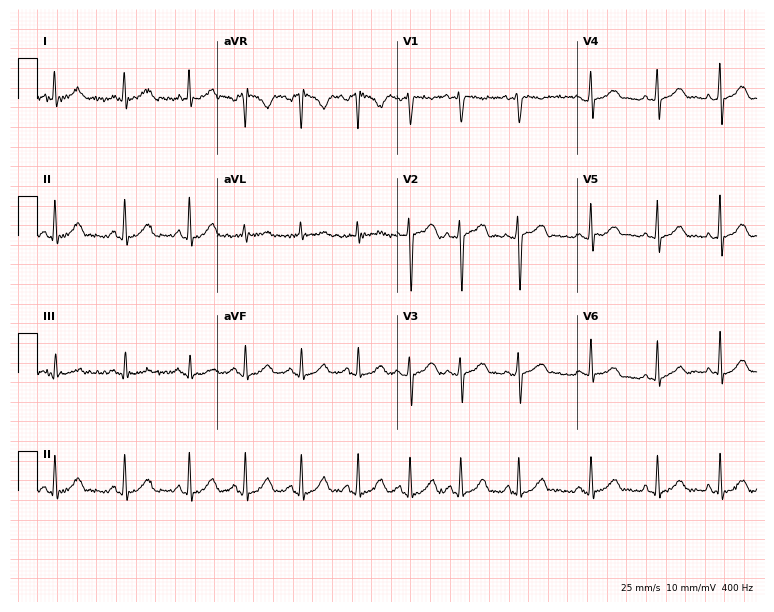
Electrocardiogram, a woman, 26 years old. Of the six screened findings (first-degree AV block, right bundle branch block (RBBB), left bundle branch block (LBBB), sinus bradycardia, atrial fibrillation (AF), sinus tachycardia), none is recorded. Findings outside these six are not listed.